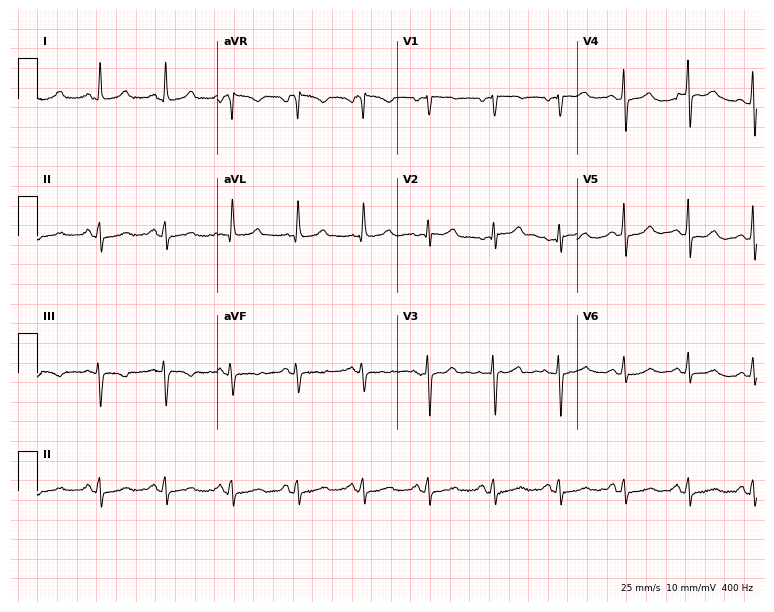
Resting 12-lead electrocardiogram (7.3-second recording at 400 Hz). Patient: a 64-year-old female. None of these six findings is recorded: first-degree AV block, right bundle branch block, left bundle branch block, sinus bradycardia, atrial fibrillation, sinus tachycardia.